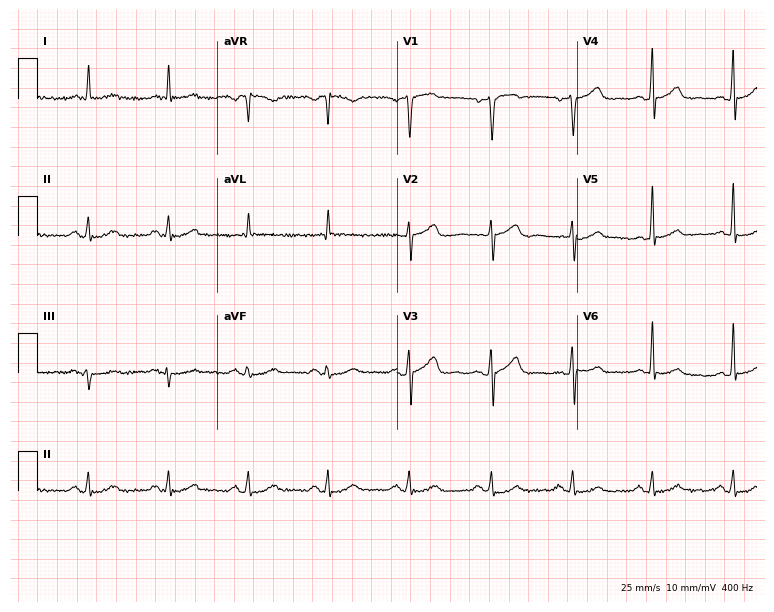
12-lead ECG (7.3-second recording at 400 Hz) from a man, 55 years old. Labelled as a normal ECG.